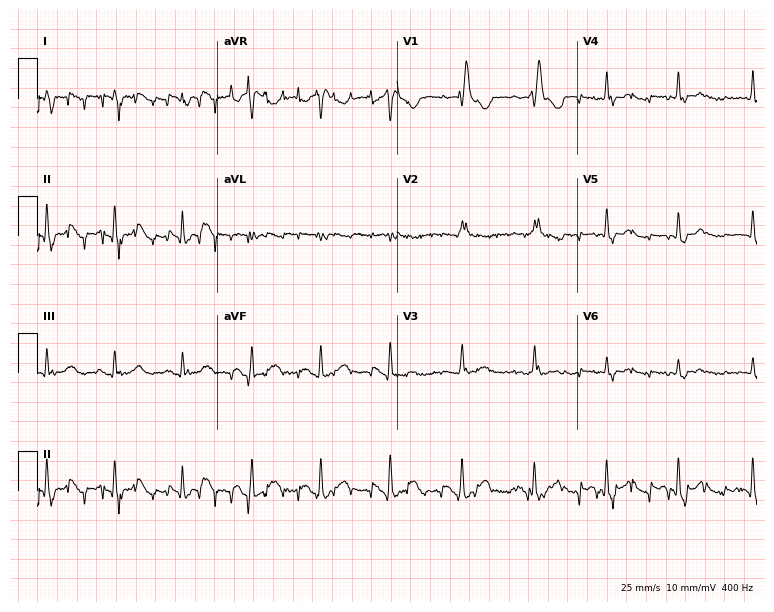
Standard 12-lead ECG recorded from an 83-year-old male (7.3-second recording at 400 Hz). The tracing shows right bundle branch block.